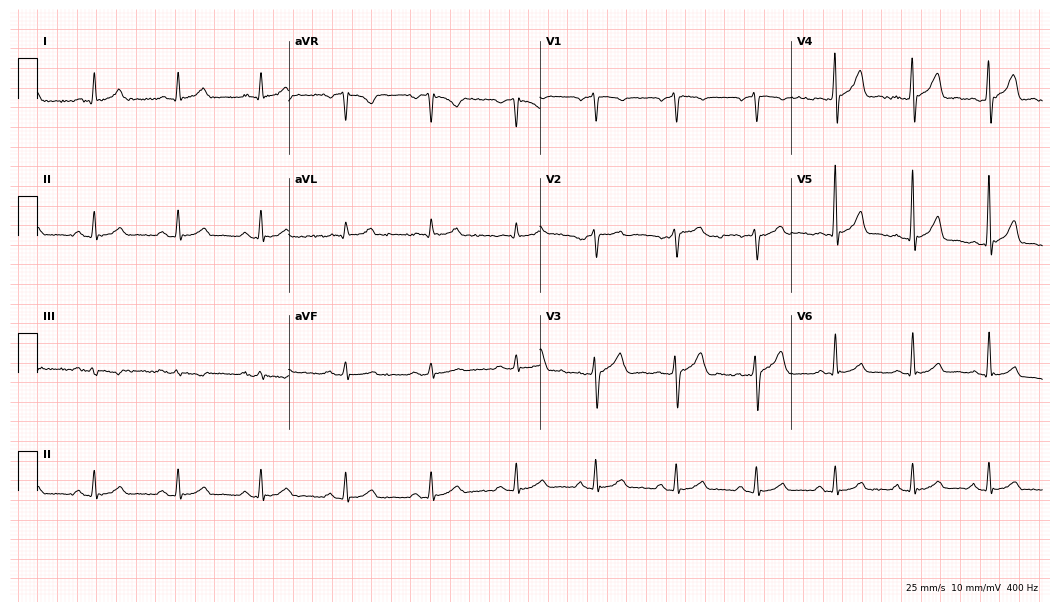
Electrocardiogram, a 56-year-old man. Overall reading on record: normal ECG.